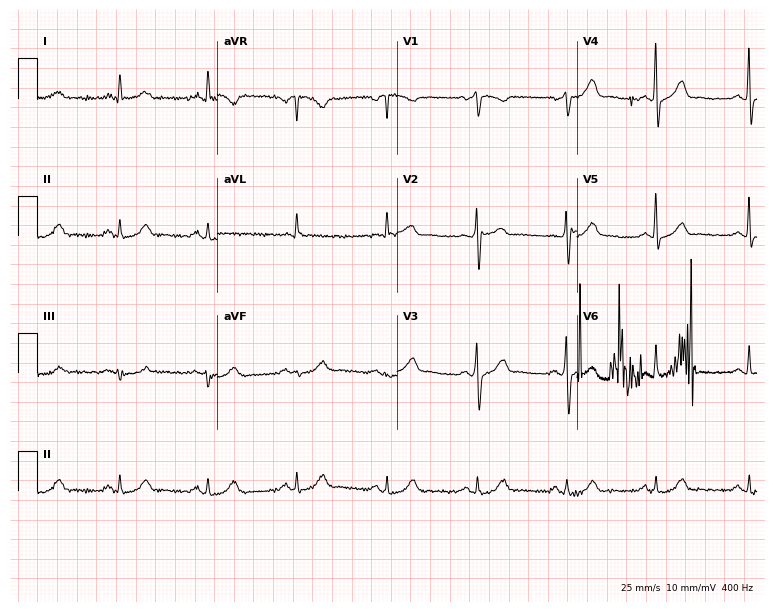
Electrocardiogram, a female patient, 44 years old. Overall reading on record: normal ECG.